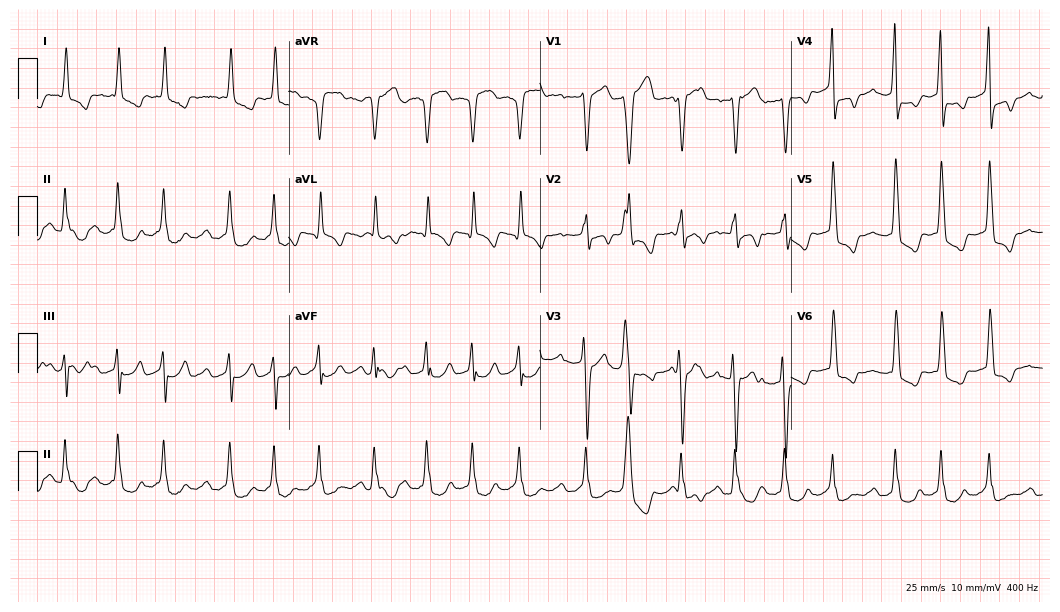
12-lead ECG from a 72-year-old male. Shows atrial fibrillation (AF).